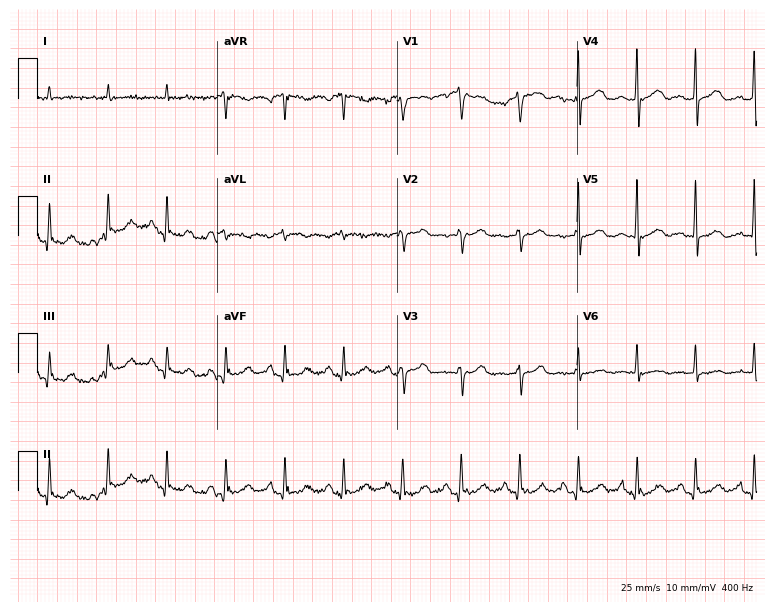
Electrocardiogram (7.3-second recording at 400 Hz), an 84-year-old male patient. Of the six screened findings (first-degree AV block, right bundle branch block (RBBB), left bundle branch block (LBBB), sinus bradycardia, atrial fibrillation (AF), sinus tachycardia), none is recorded.